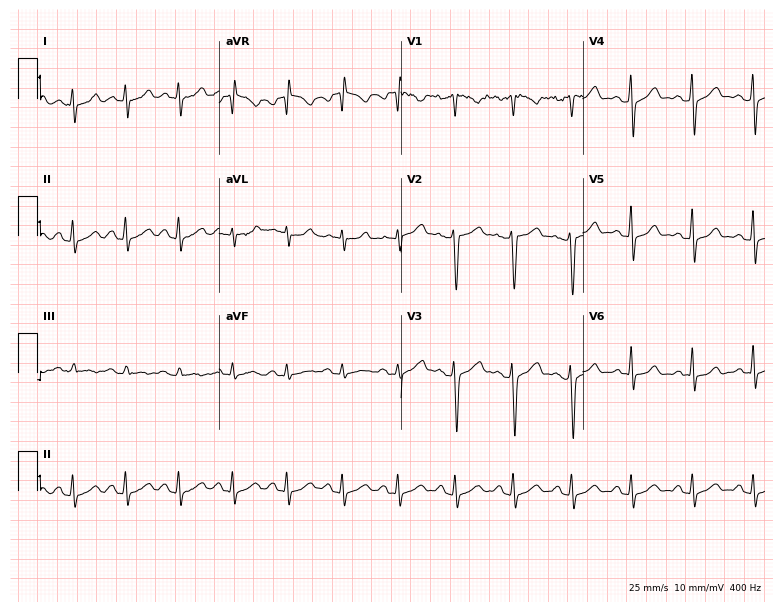
12-lead ECG from a 32-year-old male. Labelled as a normal ECG.